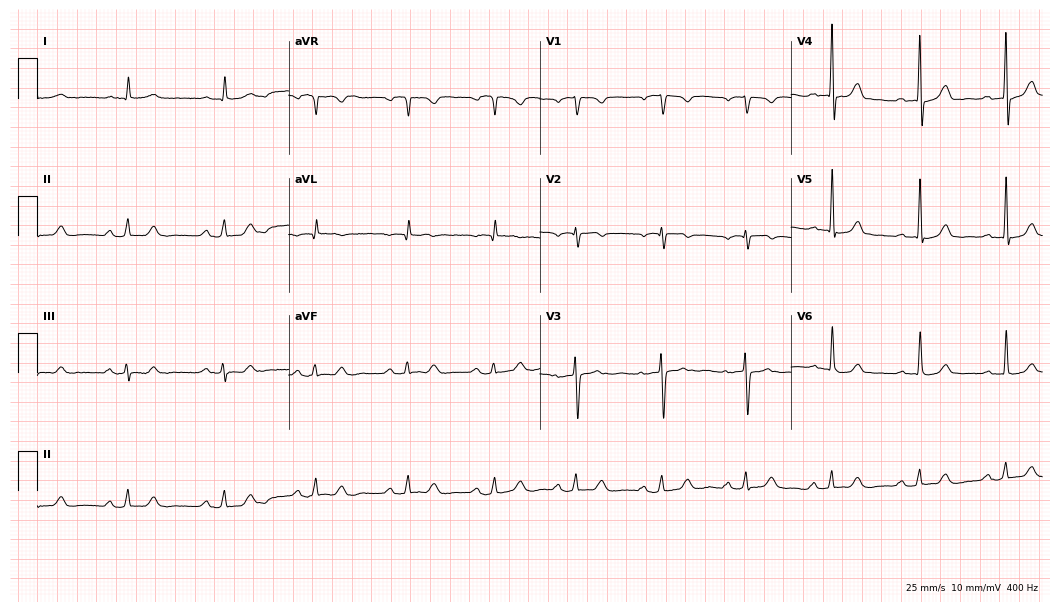
12-lead ECG from a male, 74 years old (10.2-second recording at 400 Hz). Recorded interpretation: within normal limits.